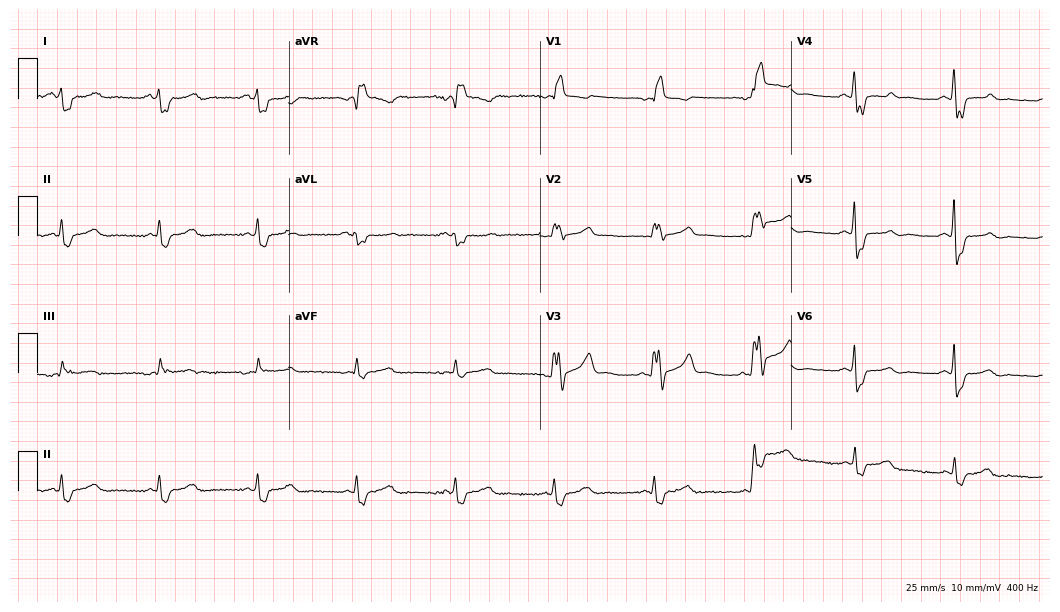
12-lead ECG from a male, 64 years old. Findings include right bundle branch block.